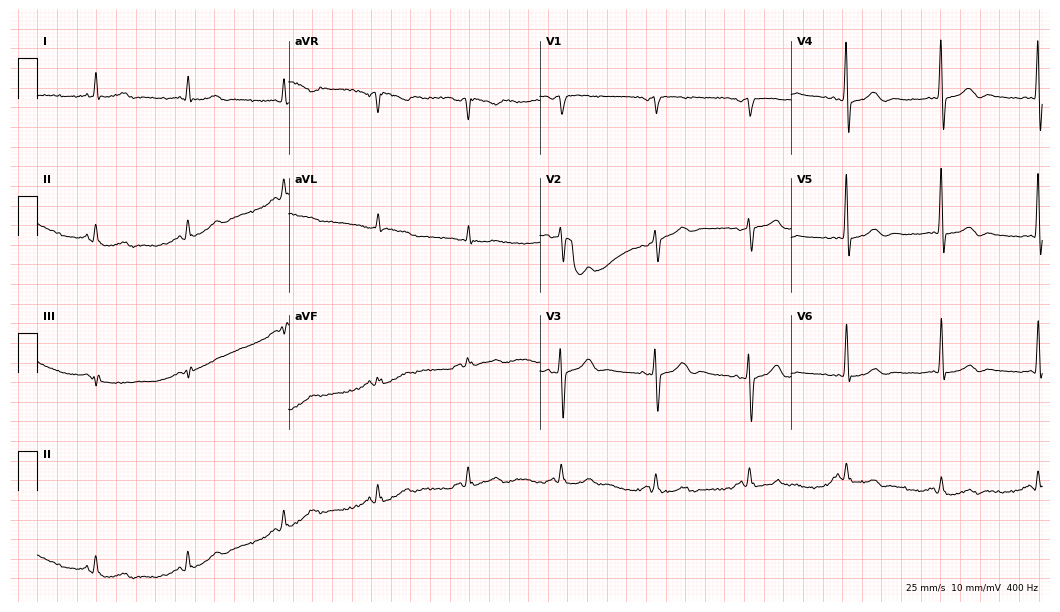
Resting 12-lead electrocardiogram. Patient: a 71-year-old male. None of these six findings is recorded: first-degree AV block, right bundle branch block, left bundle branch block, sinus bradycardia, atrial fibrillation, sinus tachycardia.